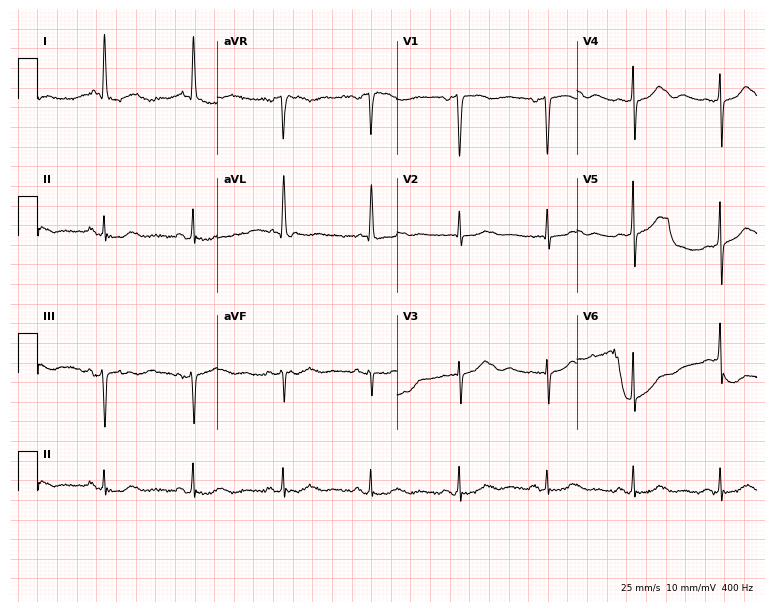
Resting 12-lead electrocardiogram (7.3-second recording at 400 Hz). Patient: a 73-year-old female. Read as a normal ECG.